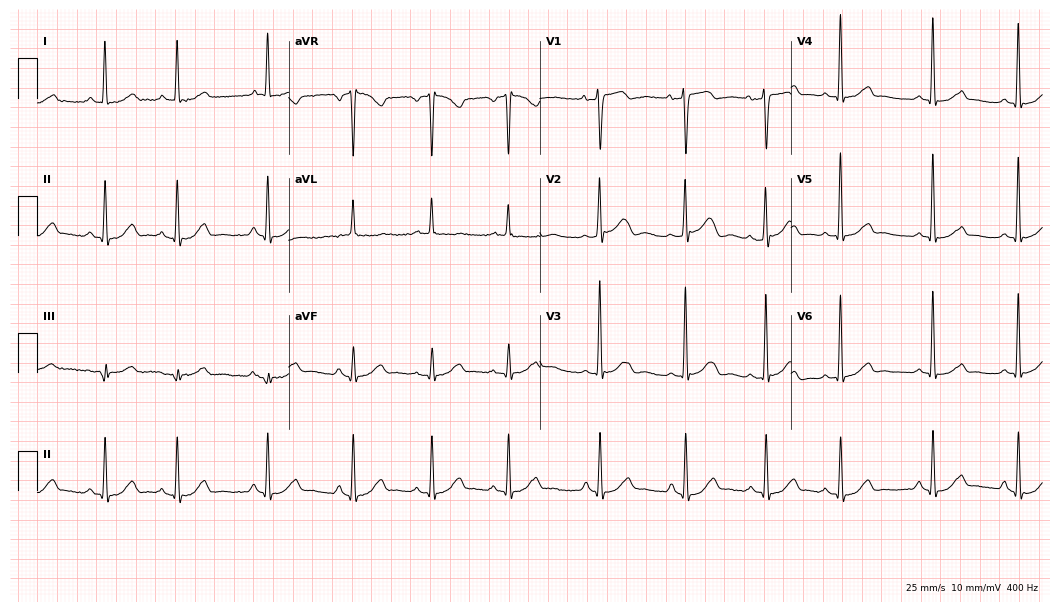
Electrocardiogram, a female patient, 62 years old. Of the six screened findings (first-degree AV block, right bundle branch block, left bundle branch block, sinus bradycardia, atrial fibrillation, sinus tachycardia), none is recorded.